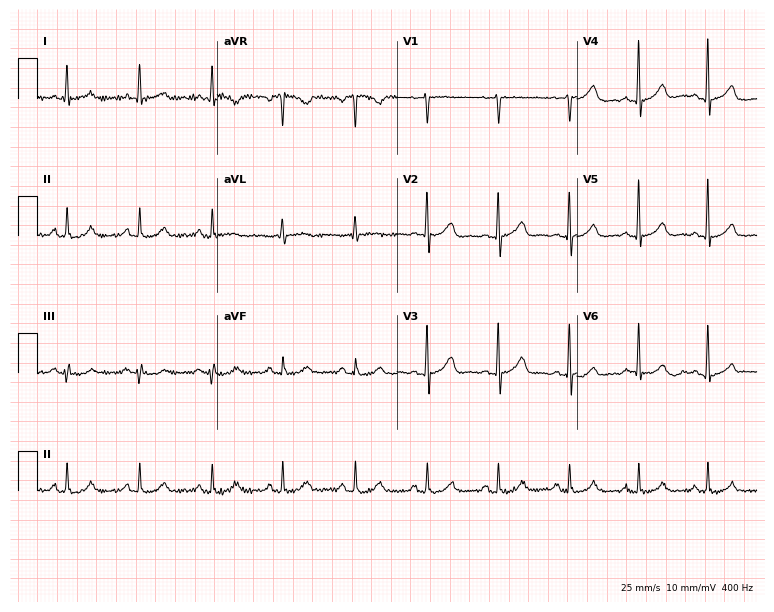
12-lead ECG from a 50-year-old female (7.3-second recording at 400 Hz). Recorded interpretation: within normal limits.